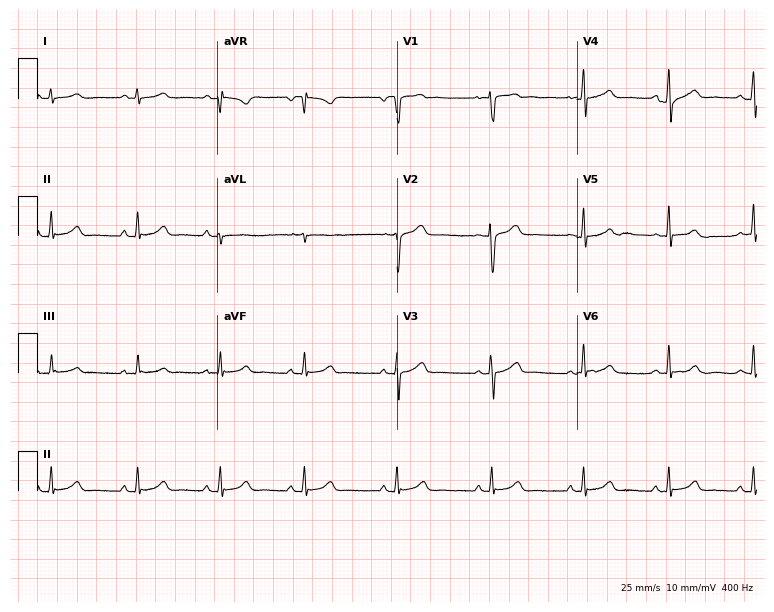
Electrocardiogram (7.3-second recording at 400 Hz), a 25-year-old female. Overall reading on record: normal ECG.